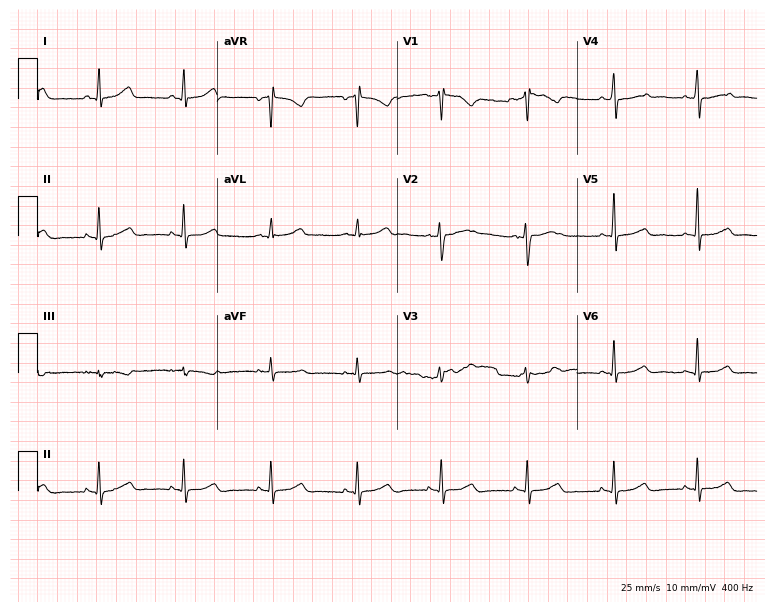
ECG (7.3-second recording at 400 Hz) — a 42-year-old female. Screened for six findings — first-degree AV block, right bundle branch block, left bundle branch block, sinus bradycardia, atrial fibrillation, sinus tachycardia — none is recorded. Only these six findings were labelled.